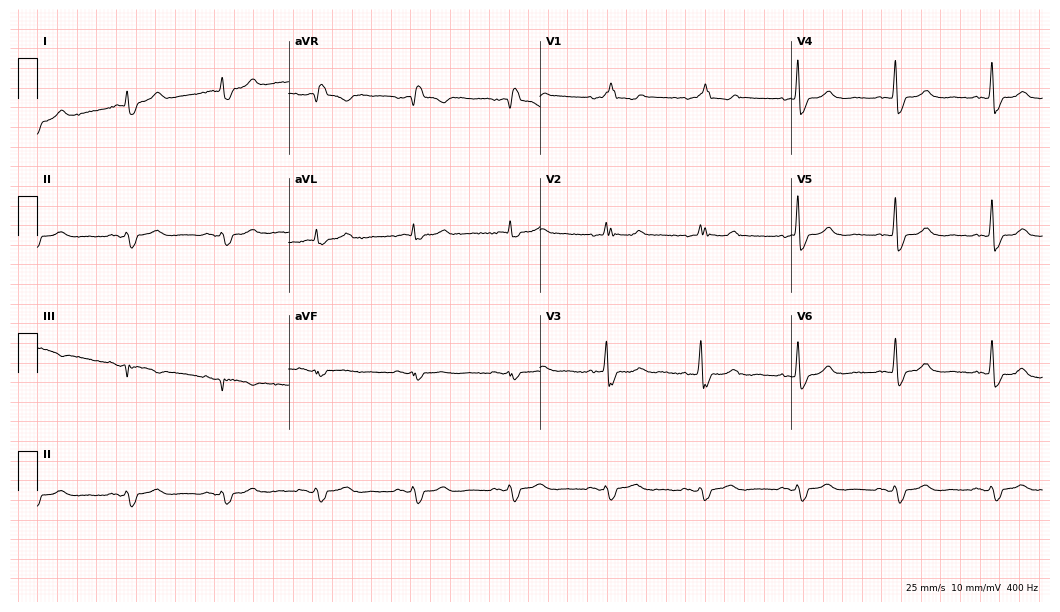
12-lead ECG from a 71-year-old male. Findings include right bundle branch block.